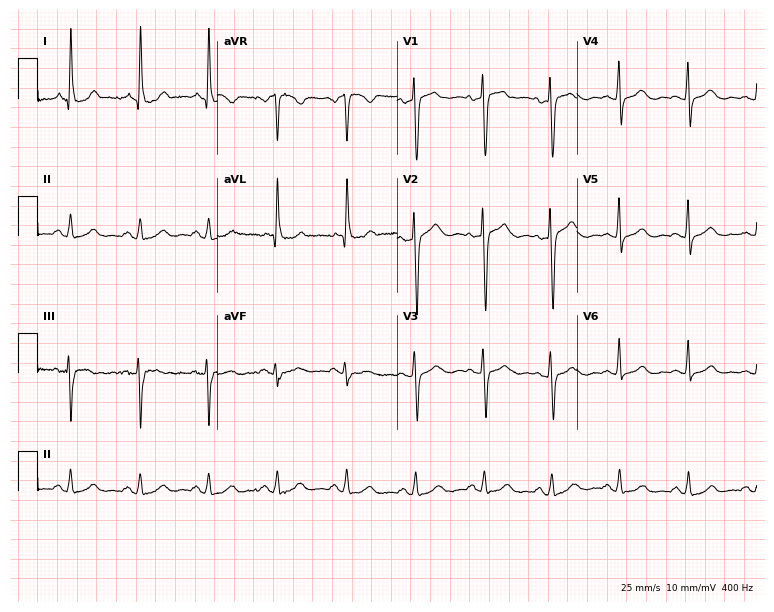
Electrocardiogram (7.3-second recording at 400 Hz), a woman, 59 years old. Overall reading on record: normal ECG.